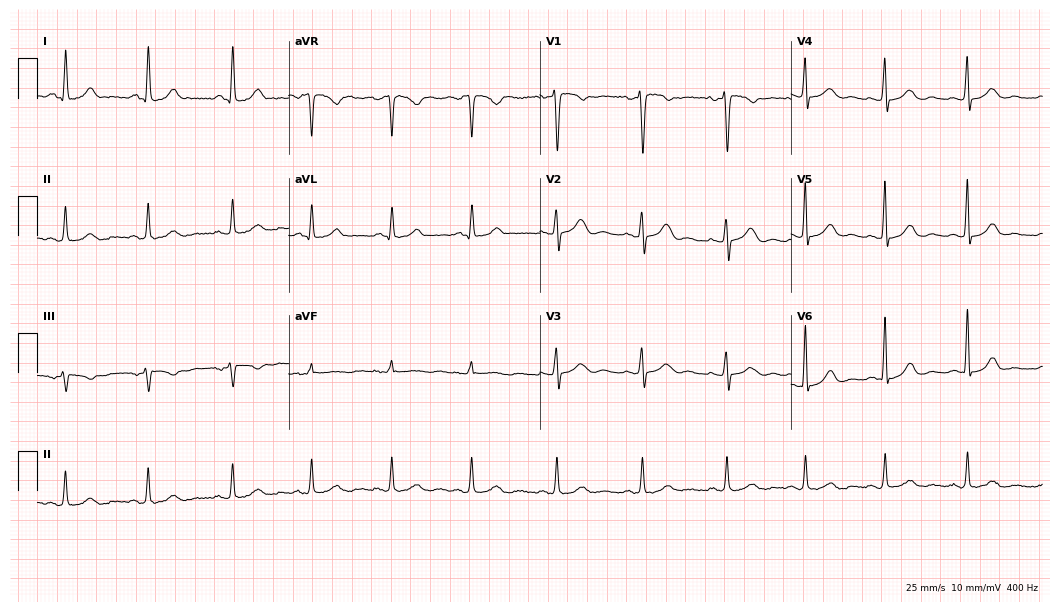
12-lead ECG from a female, 44 years old. Recorded interpretation: within normal limits.